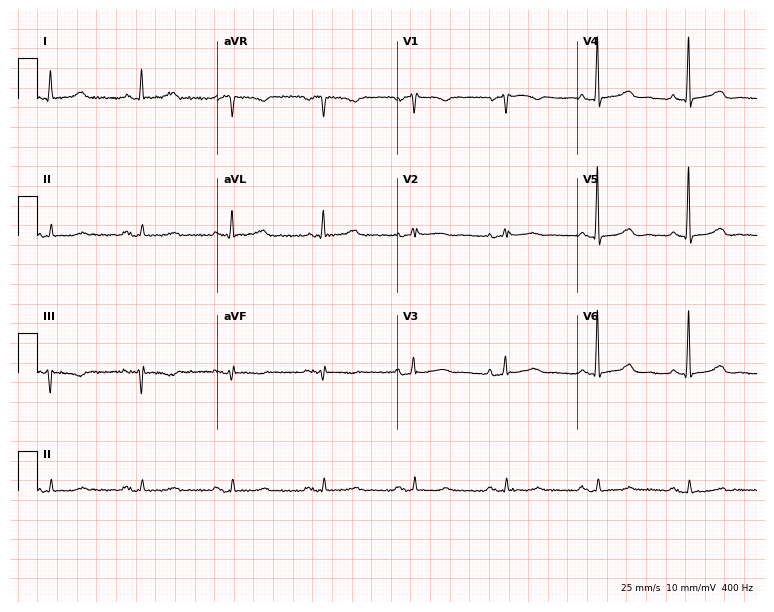
12-lead ECG from an 81-year-old female patient. Screened for six findings — first-degree AV block, right bundle branch block, left bundle branch block, sinus bradycardia, atrial fibrillation, sinus tachycardia — none is recorded.